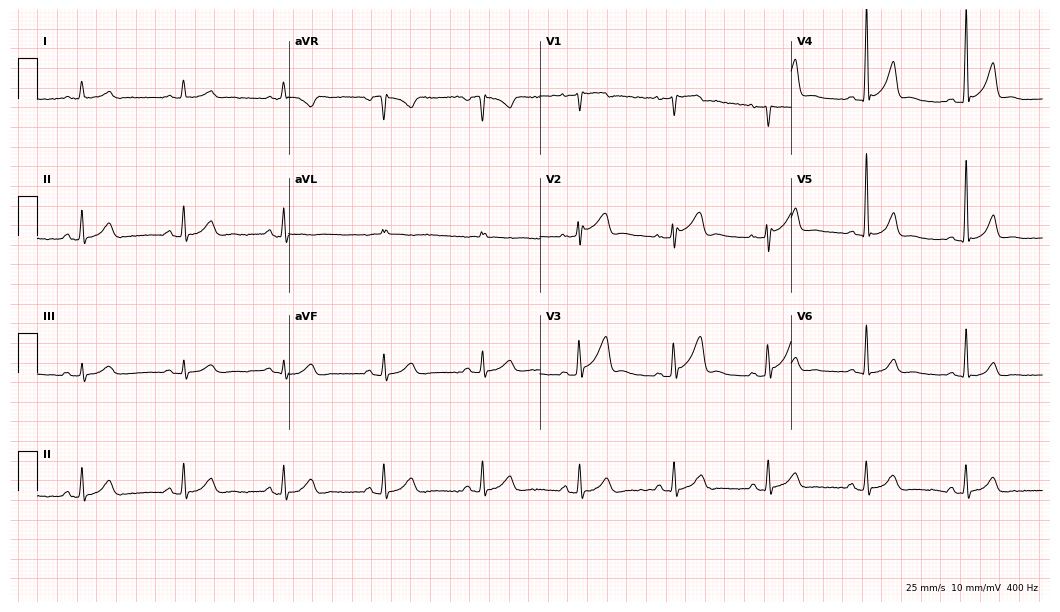
12-lead ECG from a man, 61 years old. Screened for six findings — first-degree AV block, right bundle branch block, left bundle branch block, sinus bradycardia, atrial fibrillation, sinus tachycardia — none is recorded. Findings outside these six are not listed.